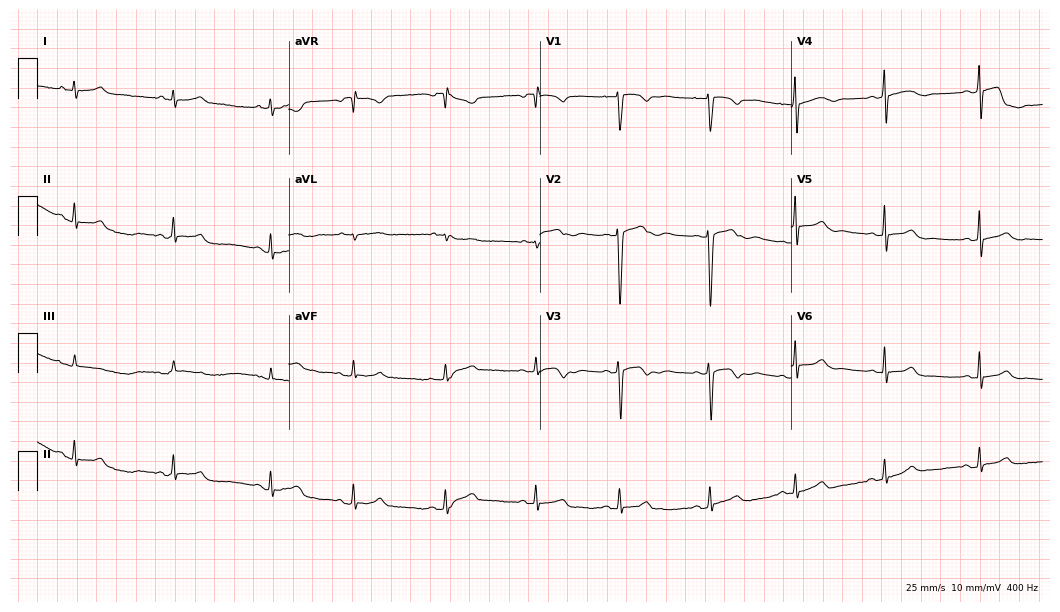
Resting 12-lead electrocardiogram (10.2-second recording at 400 Hz). Patient: a 28-year-old female. None of these six findings is recorded: first-degree AV block, right bundle branch block, left bundle branch block, sinus bradycardia, atrial fibrillation, sinus tachycardia.